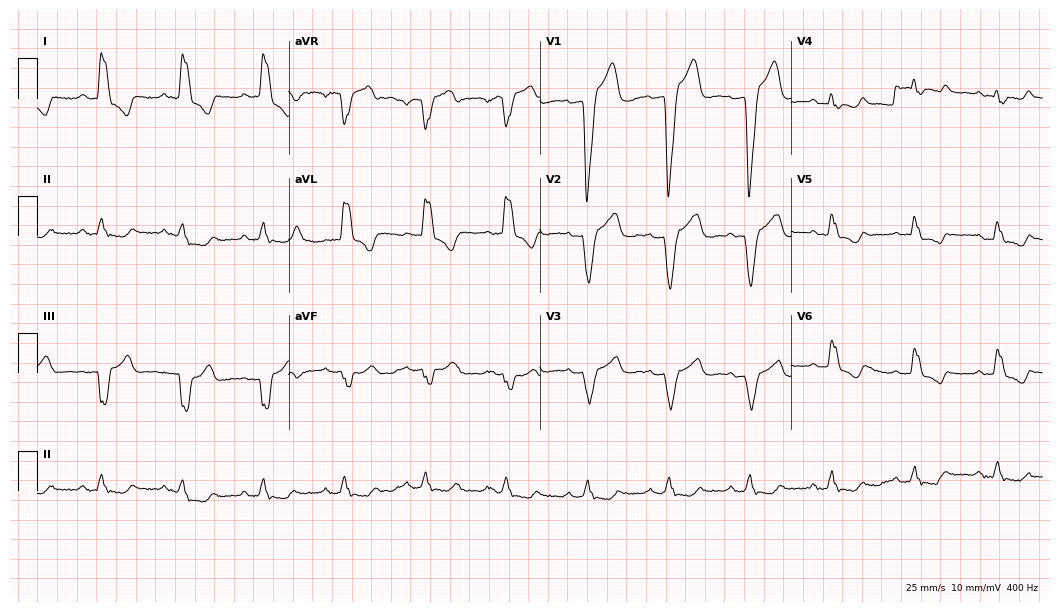
Standard 12-lead ECG recorded from a female, 84 years old. The tracing shows left bundle branch block.